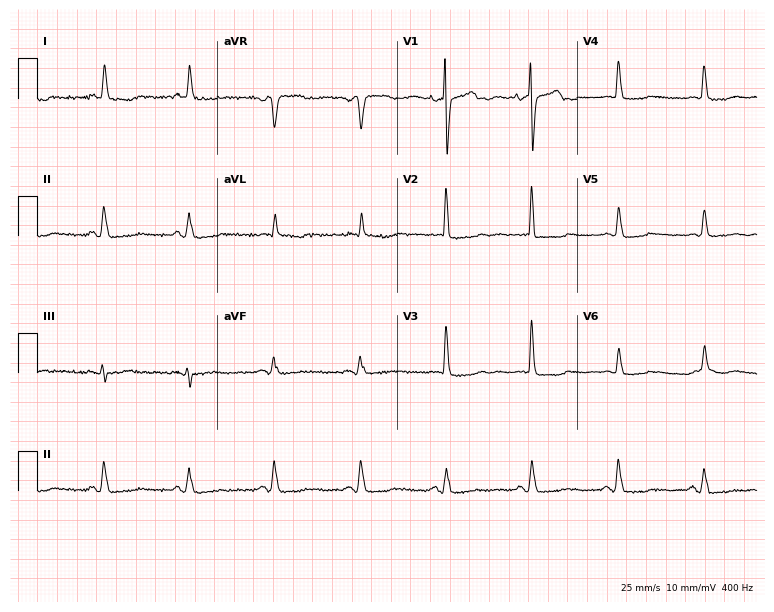
Standard 12-lead ECG recorded from a woman, 73 years old. None of these six findings is recorded: first-degree AV block, right bundle branch block, left bundle branch block, sinus bradycardia, atrial fibrillation, sinus tachycardia.